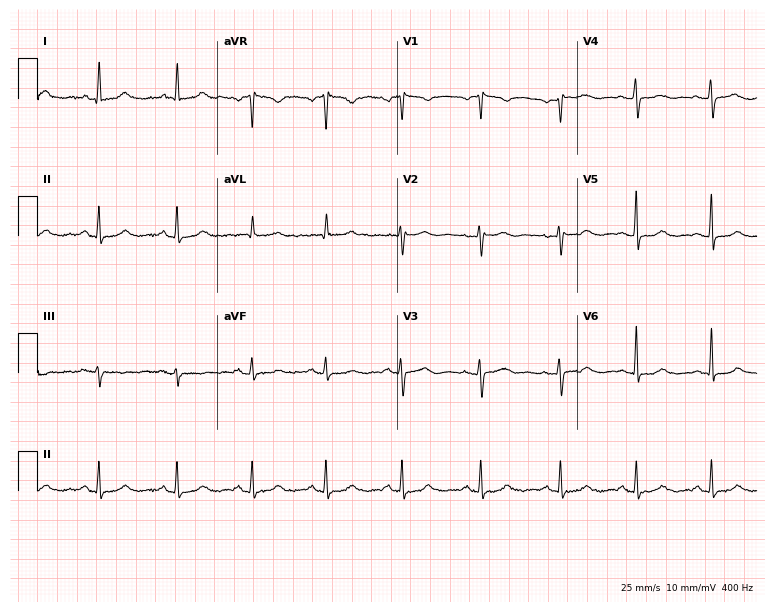
ECG — a female, 59 years old. Labelled as a normal ECG.